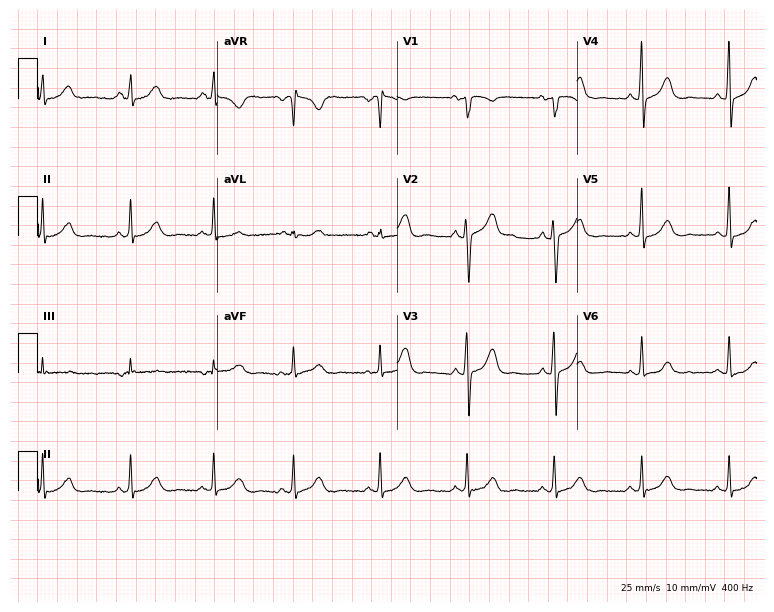
12-lead ECG from a female patient, 33 years old. No first-degree AV block, right bundle branch block (RBBB), left bundle branch block (LBBB), sinus bradycardia, atrial fibrillation (AF) or sinus tachycardia recorded for this tracing. Findings outside these six are not listed.